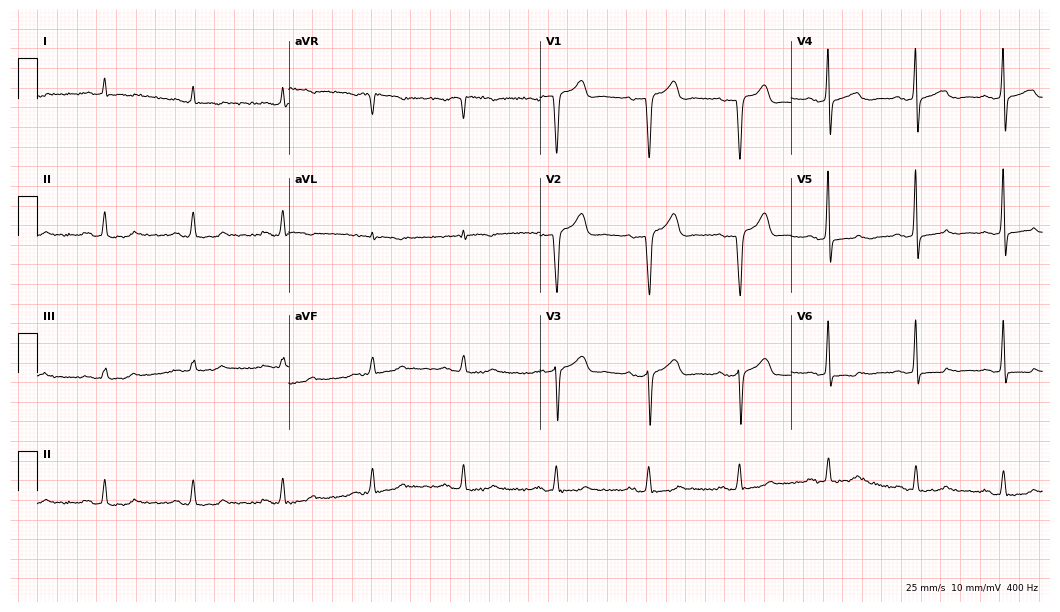
Electrocardiogram, a 67-year-old male. Of the six screened findings (first-degree AV block, right bundle branch block (RBBB), left bundle branch block (LBBB), sinus bradycardia, atrial fibrillation (AF), sinus tachycardia), none is recorded.